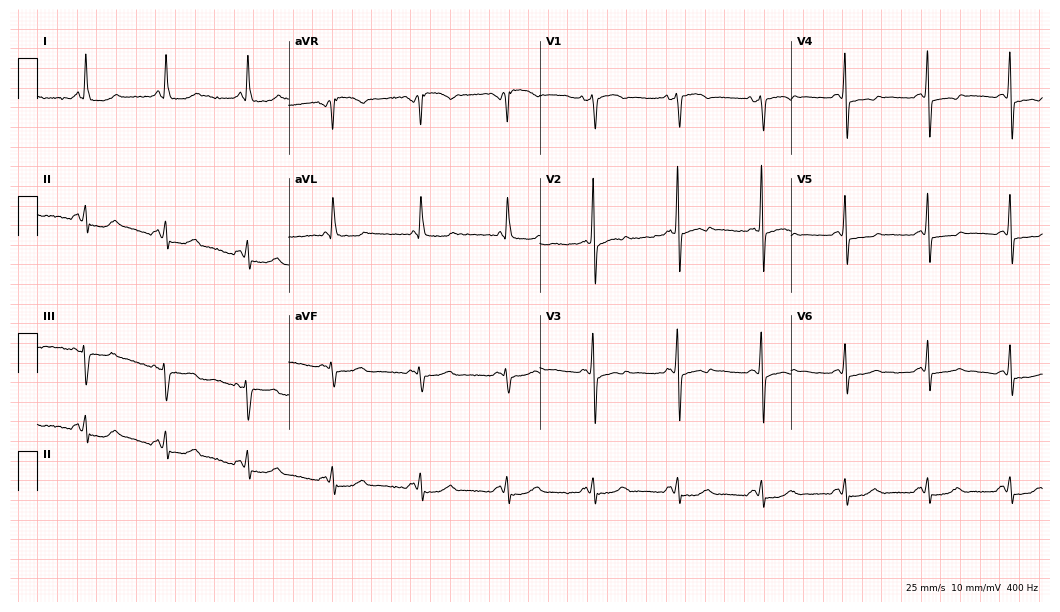
12-lead ECG from a woman, 67 years old. No first-degree AV block, right bundle branch block, left bundle branch block, sinus bradycardia, atrial fibrillation or sinus tachycardia recorded for this tracing. Other findings, if any, are not listed.